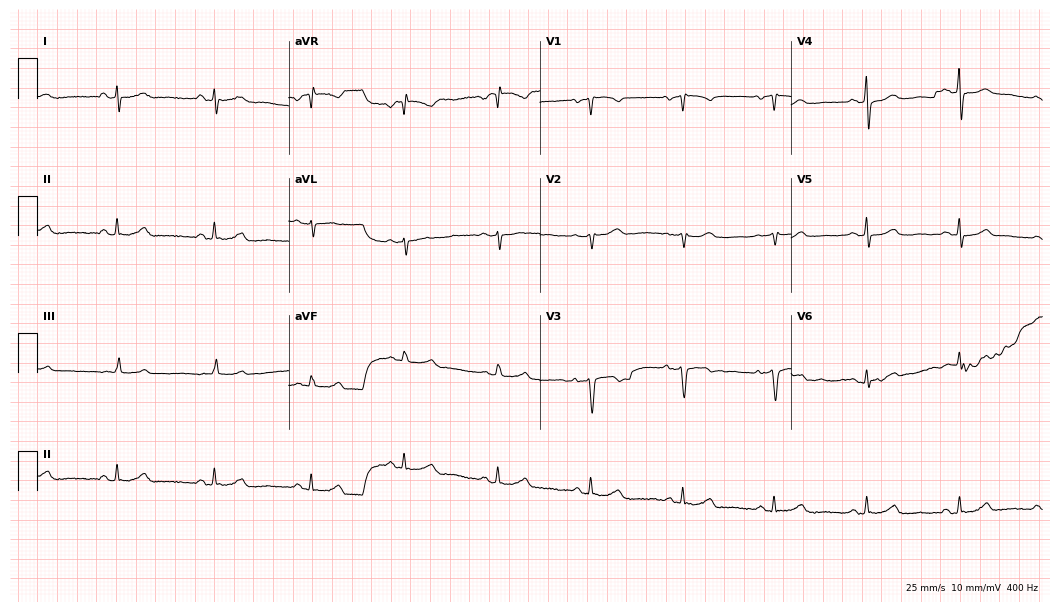
Resting 12-lead electrocardiogram (10.2-second recording at 400 Hz). Patient: a female, 57 years old. Read as a normal ECG.